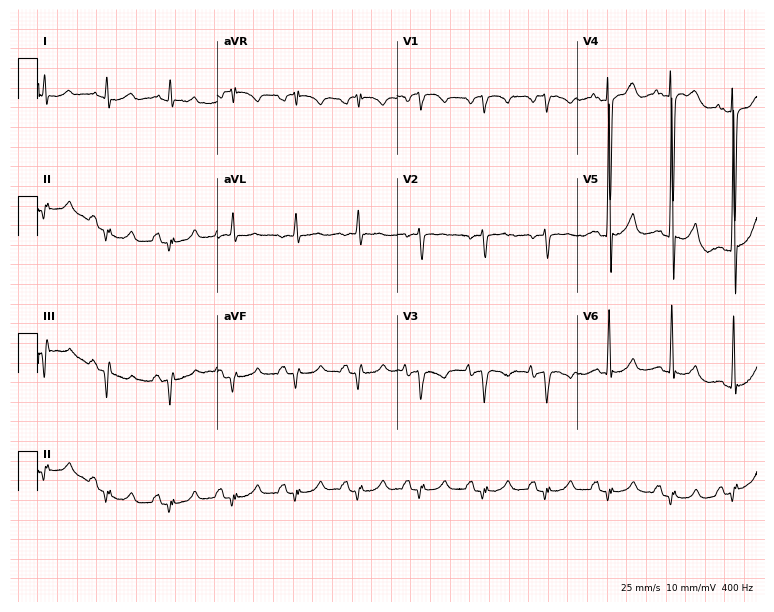
ECG (7.3-second recording at 400 Hz) — a man, 72 years old. Screened for six findings — first-degree AV block, right bundle branch block, left bundle branch block, sinus bradycardia, atrial fibrillation, sinus tachycardia — none is recorded. Only these six findings were labelled.